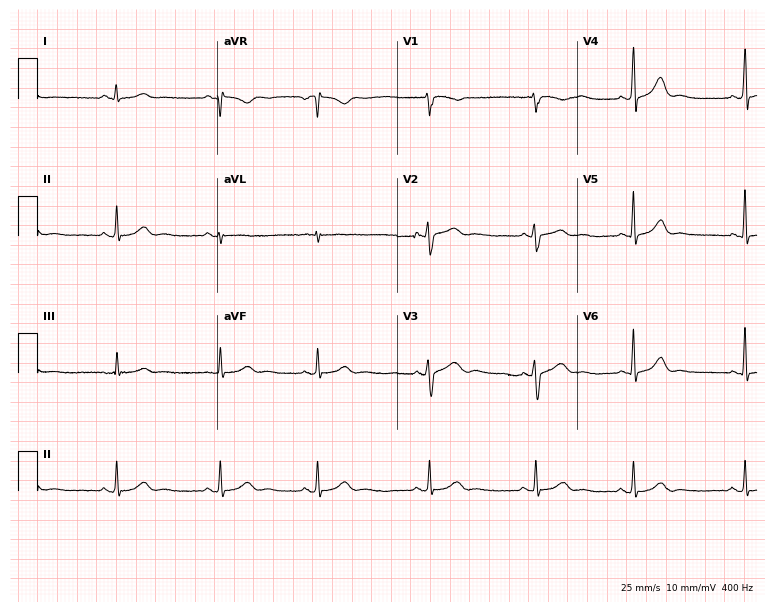
ECG — a 30-year-old female. Screened for six findings — first-degree AV block, right bundle branch block, left bundle branch block, sinus bradycardia, atrial fibrillation, sinus tachycardia — none is recorded.